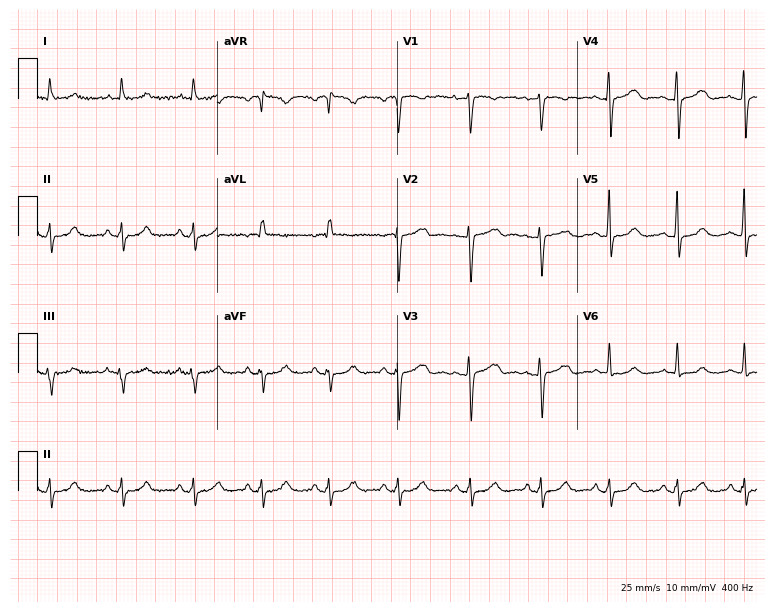
ECG — a female patient, 41 years old. Screened for six findings — first-degree AV block, right bundle branch block, left bundle branch block, sinus bradycardia, atrial fibrillation, sinus tachycardia — none is recorded. Other findings, if any, are not listed.